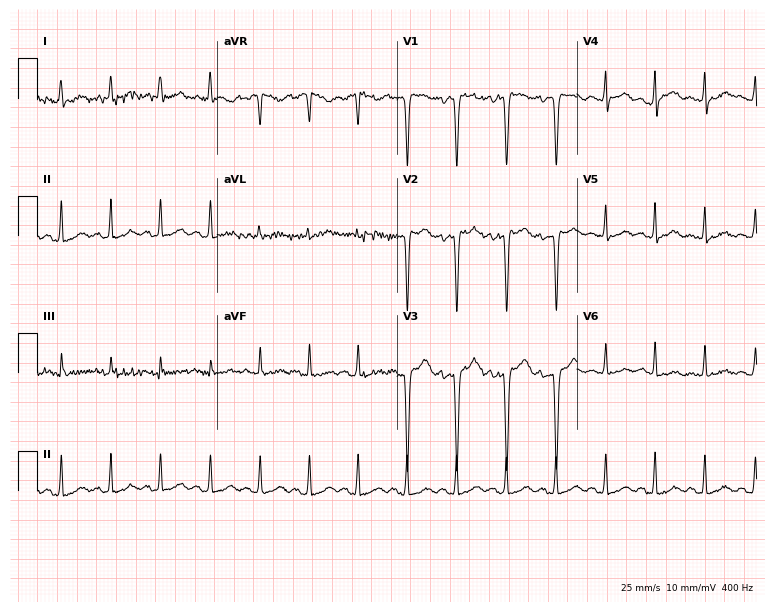
12-lead ECG (7.3-second recording at 400 Hz) from a female patient, 21 years old. Findings include sinus tachycardia (a sinus rate of 100 beats per minute or more).